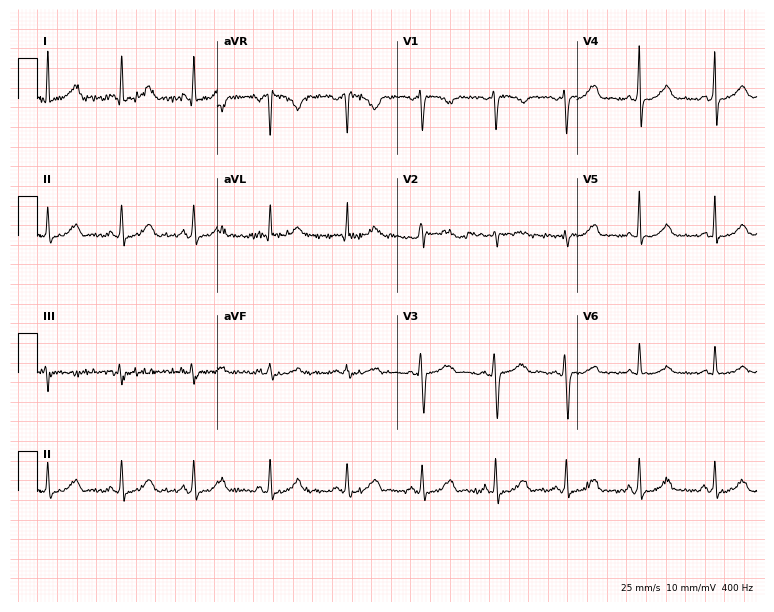
Standard 12-lead ECG recorded from a 36-year-old female. Read as a normal ECG.